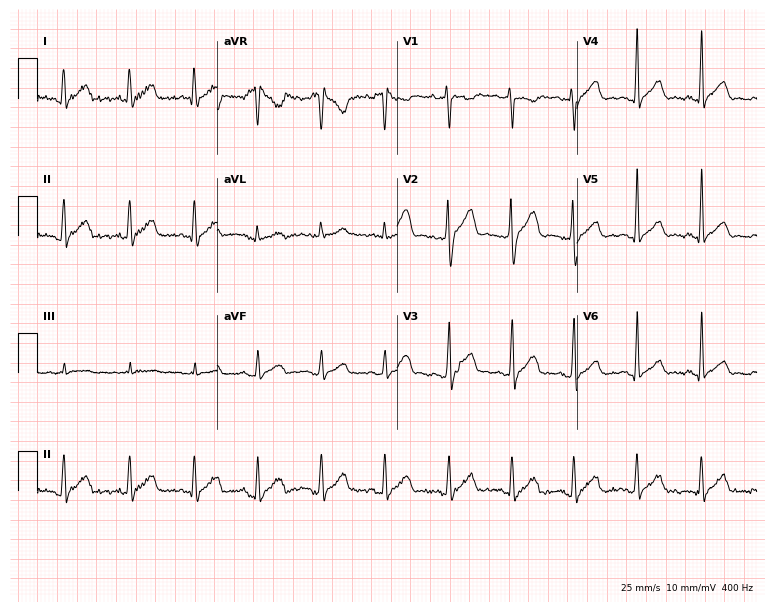
Resting 12-lead electrocardiogram. Patient: a man, 42 years old. None of these six findings is recorded: first-degree AV block, right bundle branch block, left bundle branch block, sinus bradycardia, atrial fibrillation, sinus tachycardia.